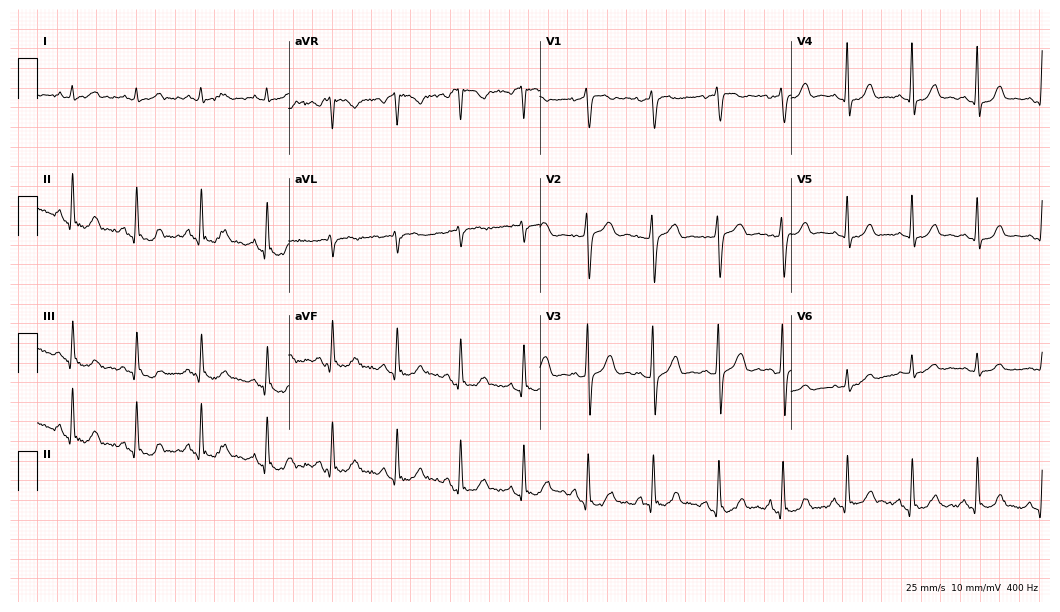
Resting 12-lead electrocardiogram (10.2-second recording at 400 Hz). Patient: a 55-year-old female. None of these six findings is recorded: first-degree AV block, right bundle branch block (RBBB), left bundle branch block (LBBB), sinus bradycardia, atrial fibrillation (AF), sinus tachycardia.